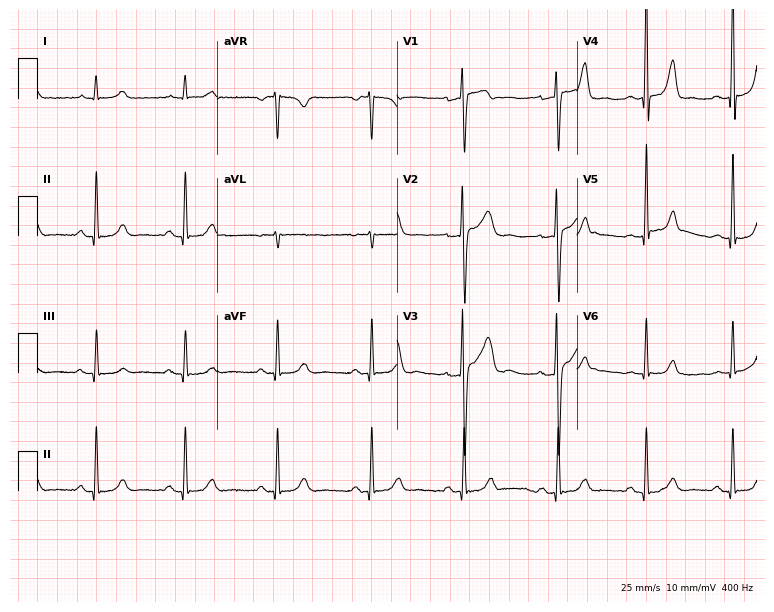
ECG (7.3-second recording at 400 Hz) — a 60-year-old male. Labelled as a normal ECG.